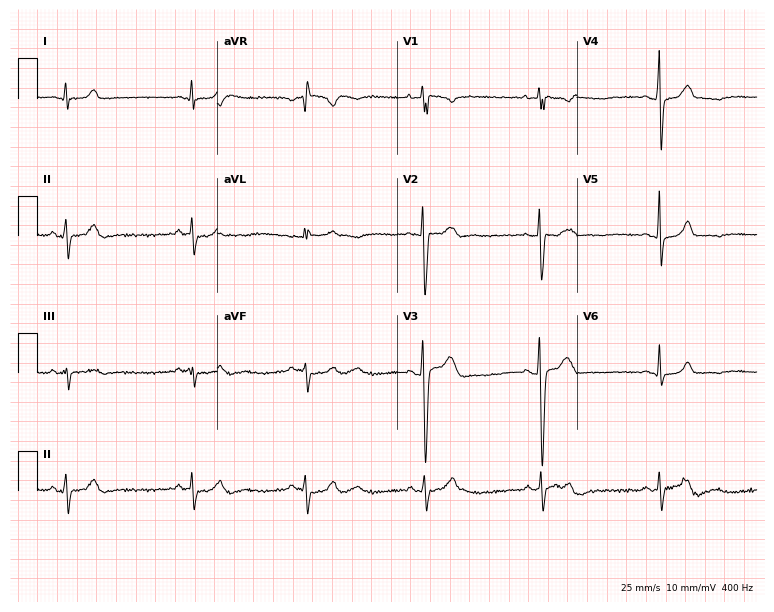
Standard 12-lead ECG recorded from a man, 17 years old (7.3-second recording at 400 Hz). Read as a normal ECG.